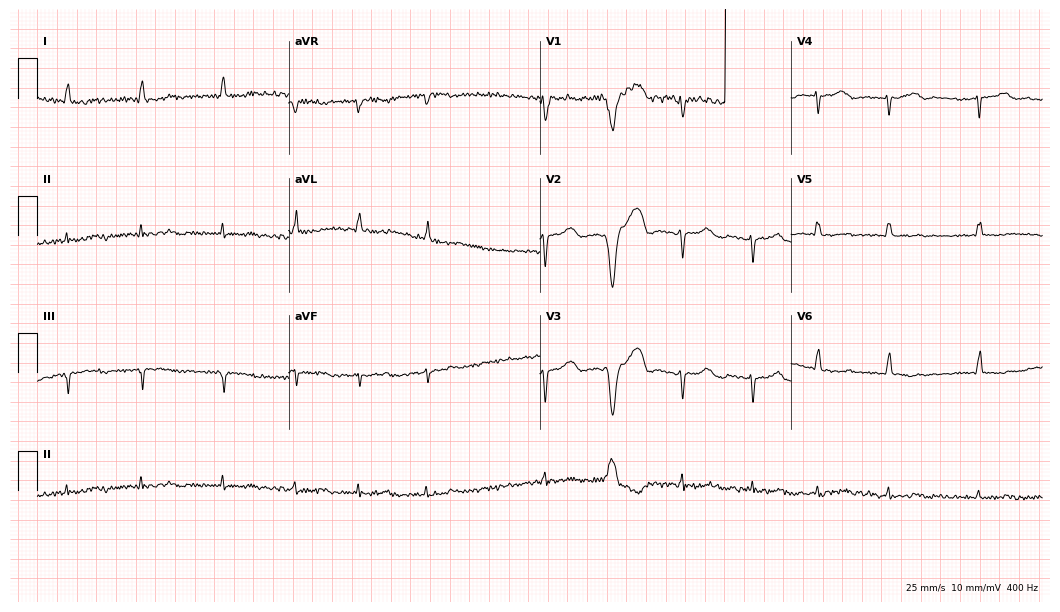
12-lead ECG from a female patient, 74 years old. Screened for six findings — first-degree AV block, right bundle branch block, left bundle branch block, sinus bradycardia, atrial fibrillation, sinus tachycardia — none is recorded. Findings outside these six are not listed.